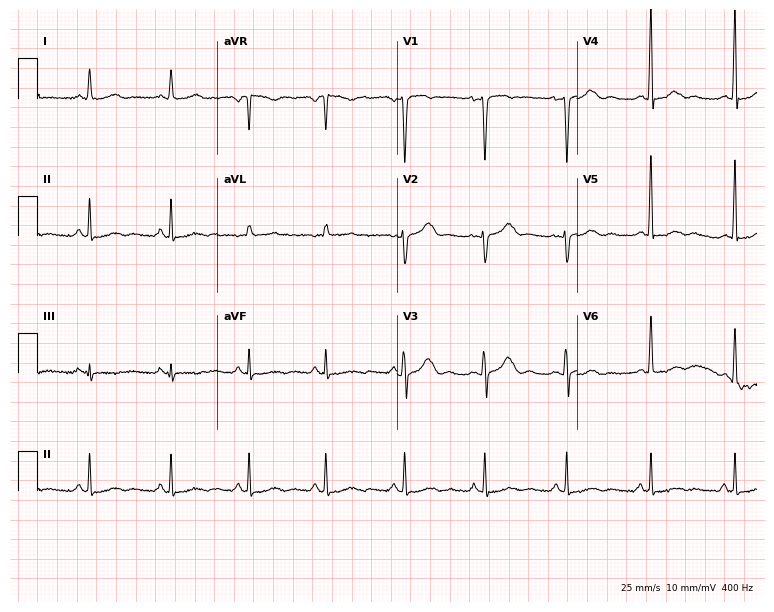
ECG (7.3-second recording at 400 Hz) — a 45-year-old female patient. Labelled as a normal ECG.